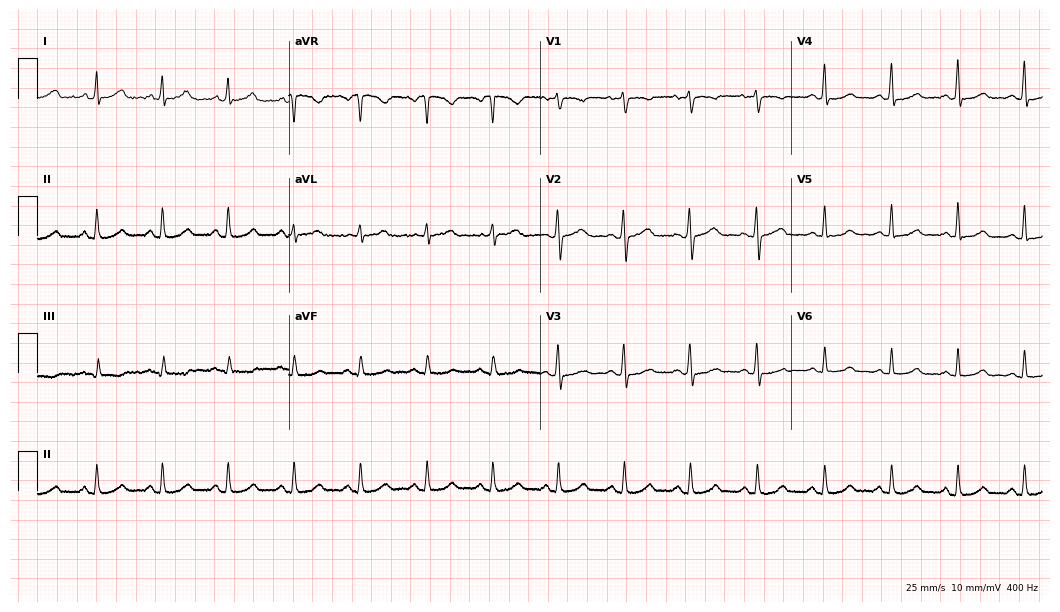
ECG — a woman, 48 years old. Labelled as a normal ECG.